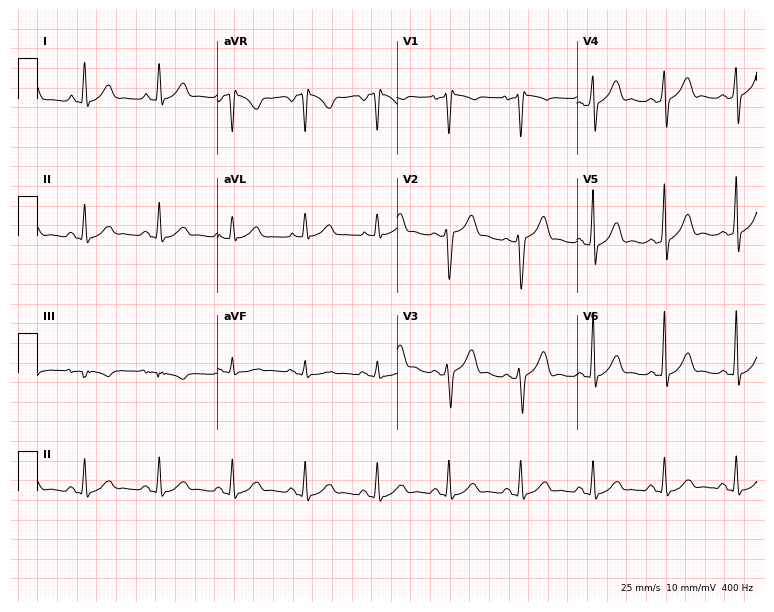
ECG — a 42-year-old male patient. Screened for six findings — first-degree AV block, right bundle branch block, left bundle branch block, sinus bradycardia, atrial fibrillation, sinus tachycardia — none is recorded.